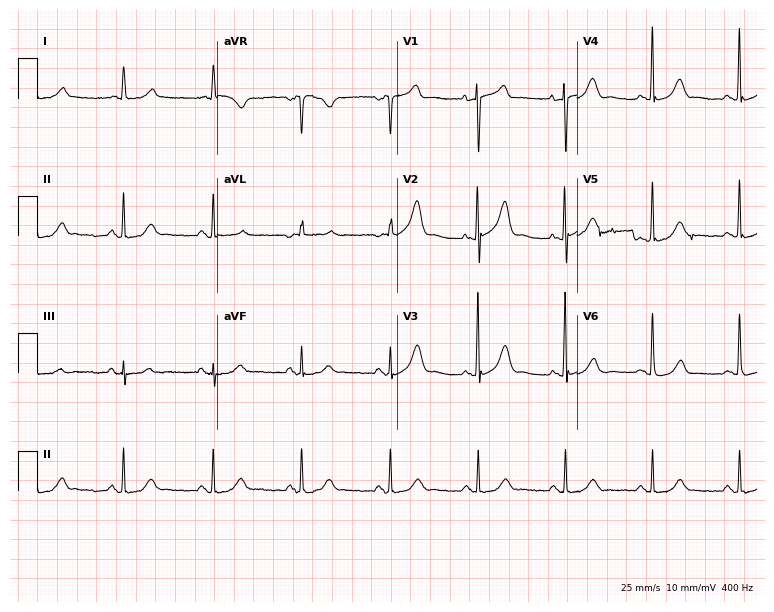
Standard 12-lead ECG recorded from a woman, 74 years old. Read as a normal ECG.